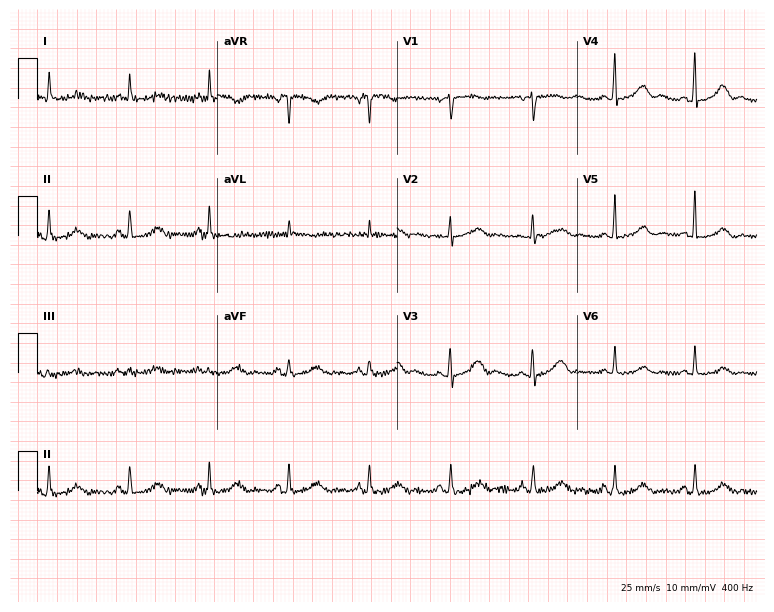
Resting 12-lead electrocardiogram (7.3-second recording at 400 Hz). Patient: a 64-year-old woman. Read as a normal ECG.